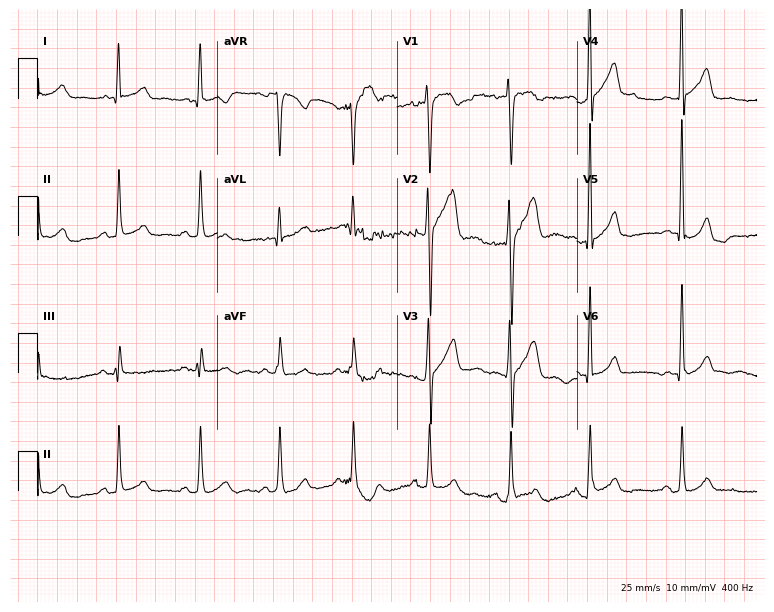
12-lead ECG (7.3-second recording at 400 Hz) from a 33-year-old male patient. Screened for six findings — first-degree AV block, right bundle branch block (RBBB), left bundle branch block (LBBB), sinus bradycardia, atrial fibrillation (AF), sinus tachycardia — none is recorded. Only these six findings were labelled.